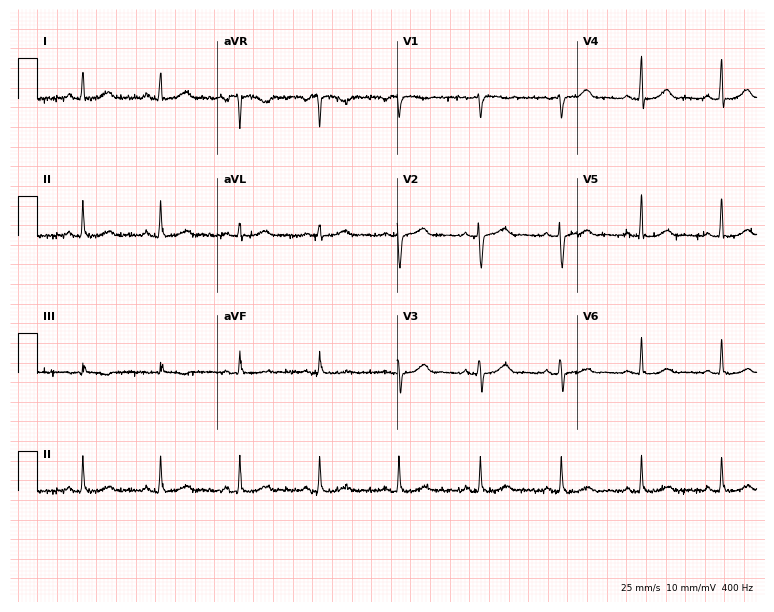
12-lead ECG from a 49-year-old female. Recorded interpretation: within normal limits.